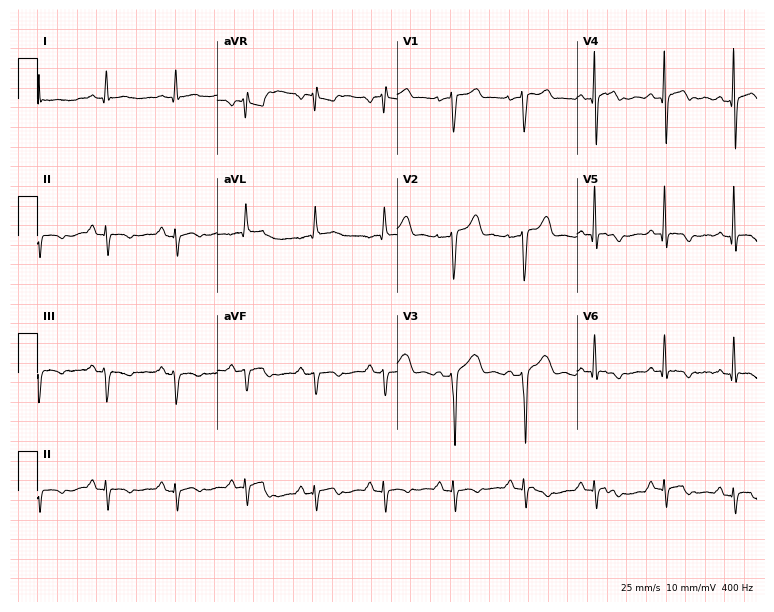
Standard 12-lead ECG recorded from a 65-year-old man (7.3-second recording at 400 Hz). None of these six findings is recorded: first-degree AV block, right bundle branch block, left bundle branch block, sinus bradycardia, atrial fibrillation, sinus tachycardia. Findings outside these six are not listed.